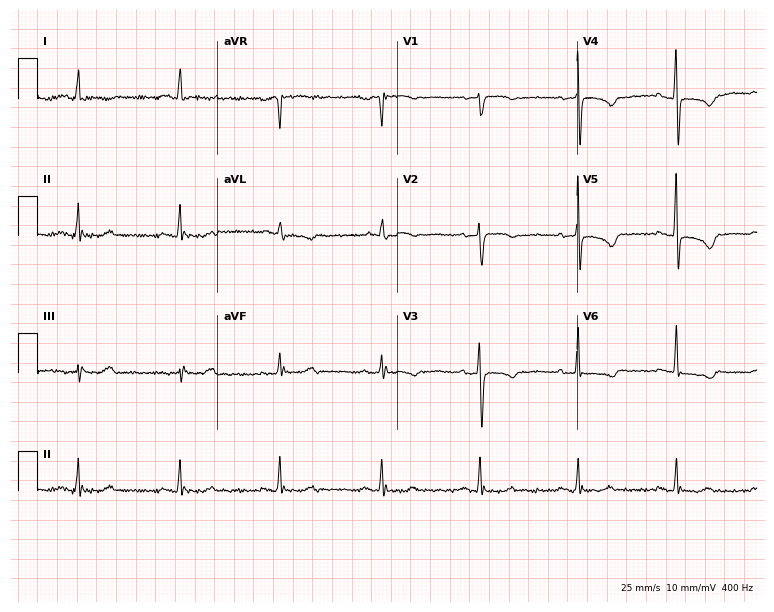
Resting 12-lead electrocardiogram. Patient: a female, 65 years old. Read as a normal ECG.